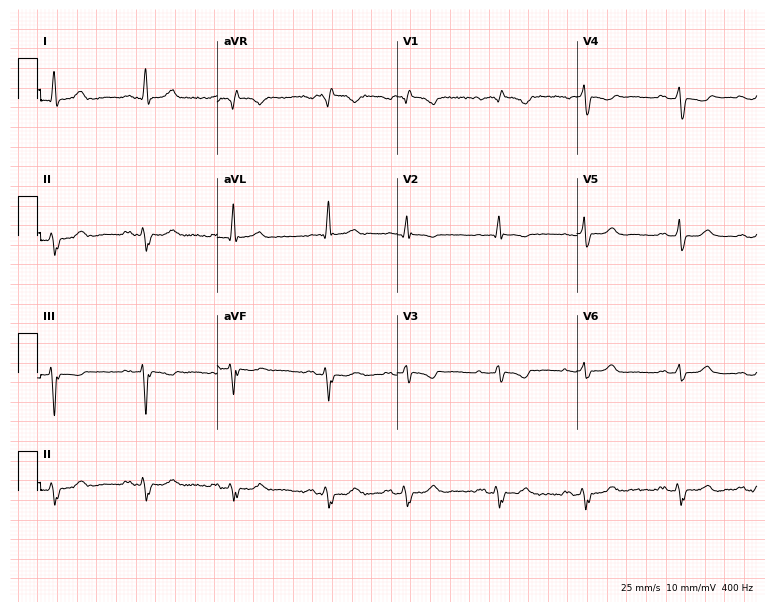
12-lead ECG from a female, 83 years old. Screened for six findings — first-degree AV block, right bundle branch block, left bundle branch block, sinus bradycardia, atrial fibrillation, sinus tachycardia — none is recorded.